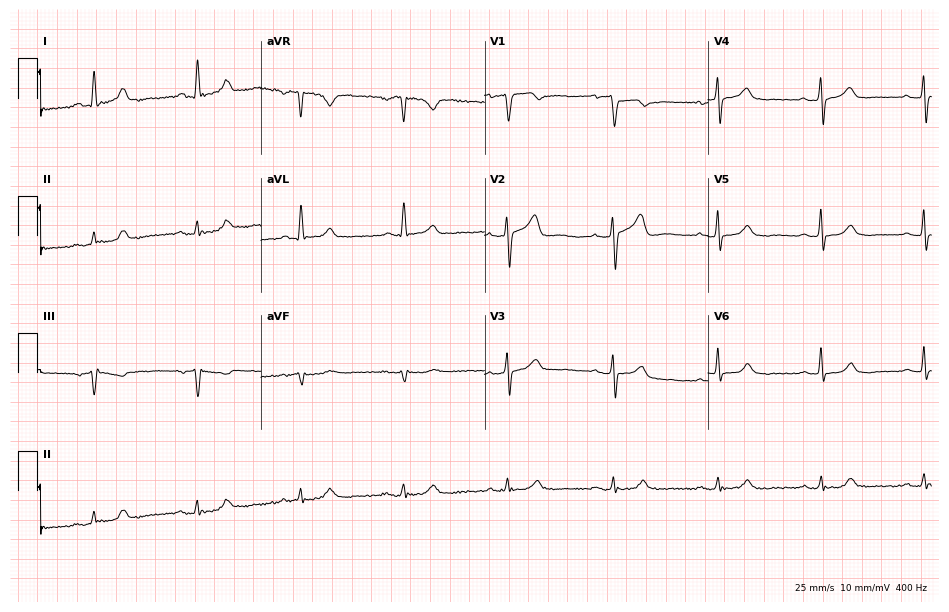
ECG (9.1-second recording at 400 Hz) — a male, 78 years old. Labelled as a normal ECG.